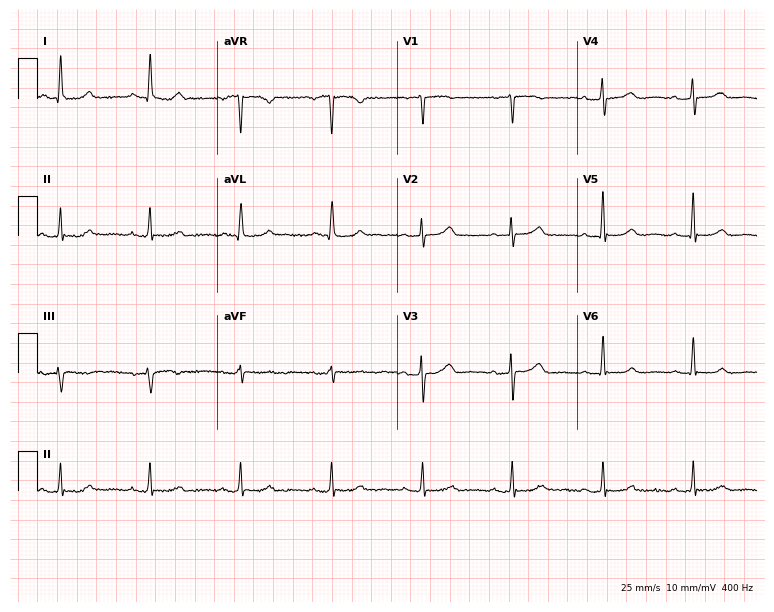
ECG (7.3-second recording at 400 Hz) — a woman, 77 years old. Labelled as a normal ECG.